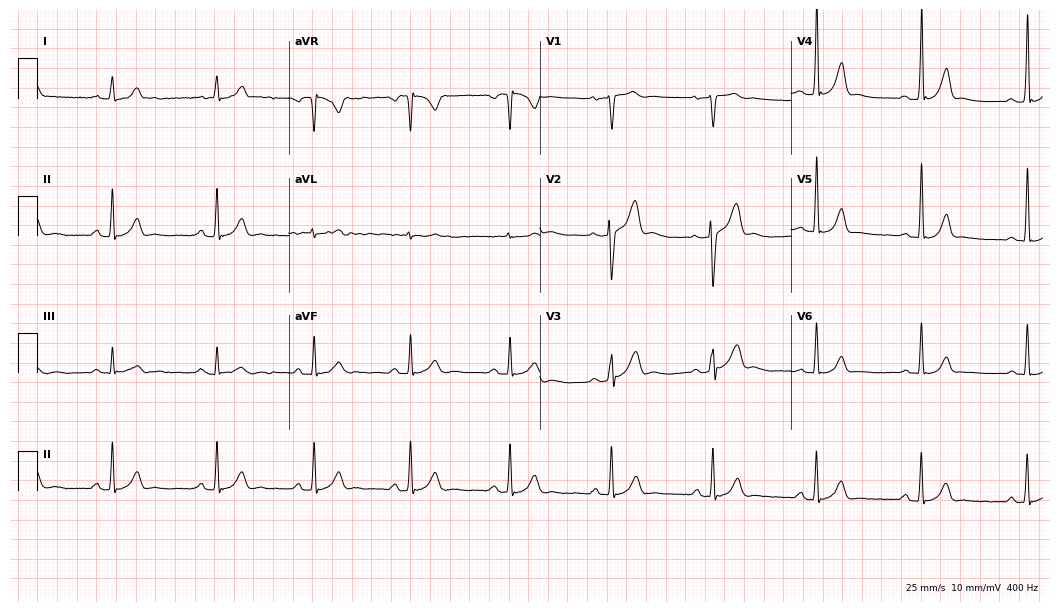
12-lead ECG from a 29-year-old man. Labelled as a normal ECG.